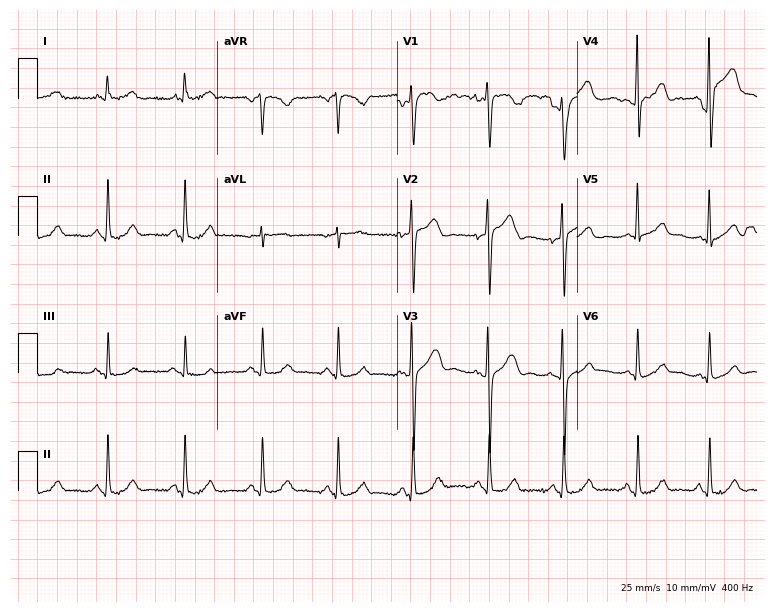
12-lead ECG from a 51-year-old male patient. Screened for six findings — first-degree AV block, right bundle branch block, left bundle branch block, sinus bradycardia, atrial fibrillation, sinus tachycardia — none is recorded.